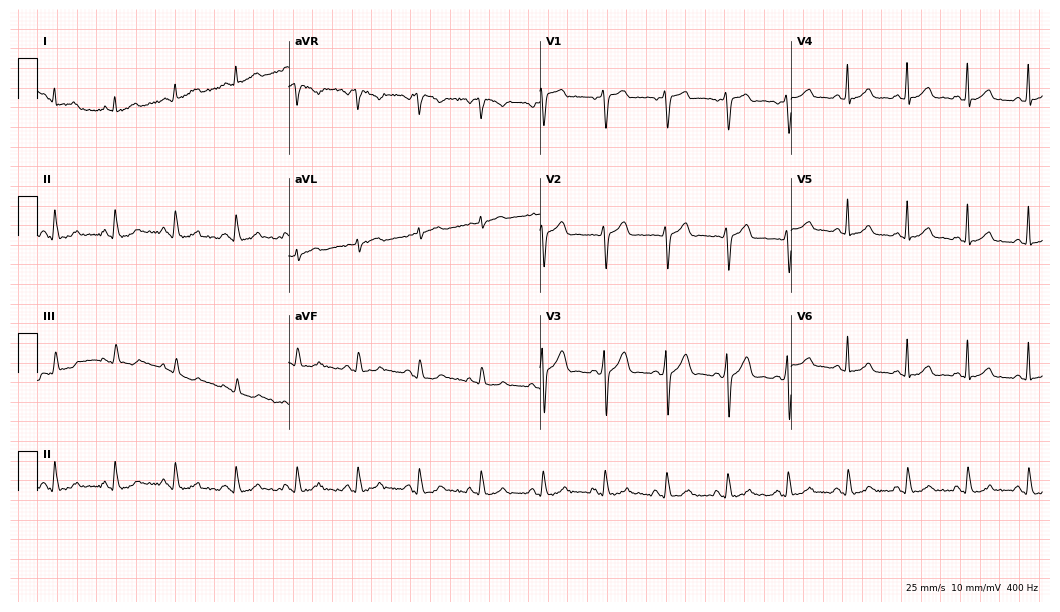
Electrocardiogram (10.2-second recording at 400 Hz), a 48-year-old male. Of the six screened findings (first-degree AV block, right bundle branch block, left bundle branch block, sinus bradycardia, atrial fibrillation, sinus tachycardia), none is recorded. Findings outside these six are not listed.